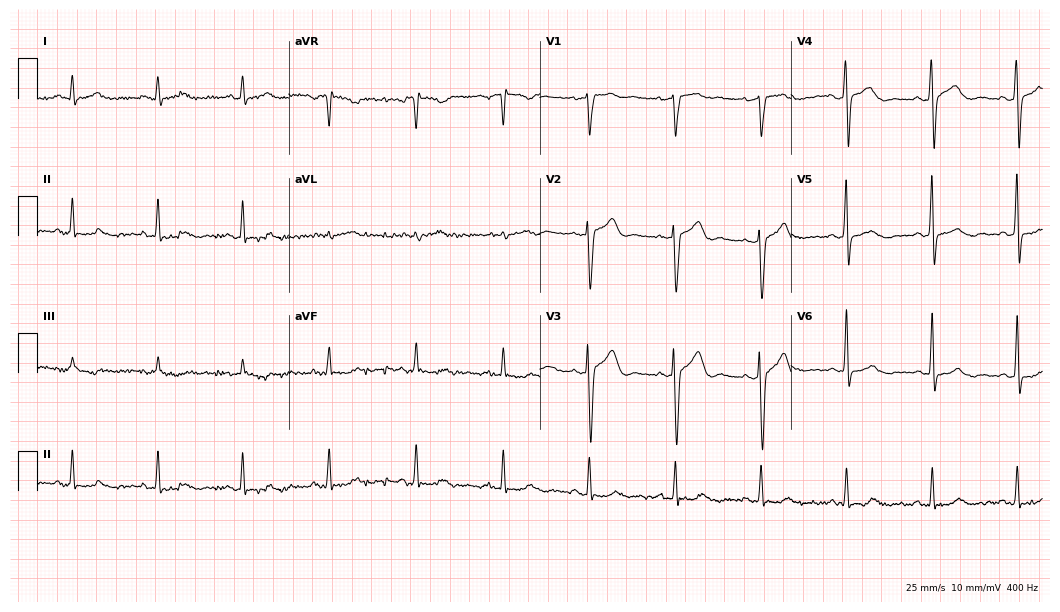
ECG (10.2-second recording at 400 Hz) — a 53-year-old man. Screened for six findings — first-degree AV block, right bundle branch block (RBBB), left bundle branch block (LBBB), sinus bradycardia, atrial fibrillation (AF), sinus tachycardia — none is recorded. Only these six findings were labelled.